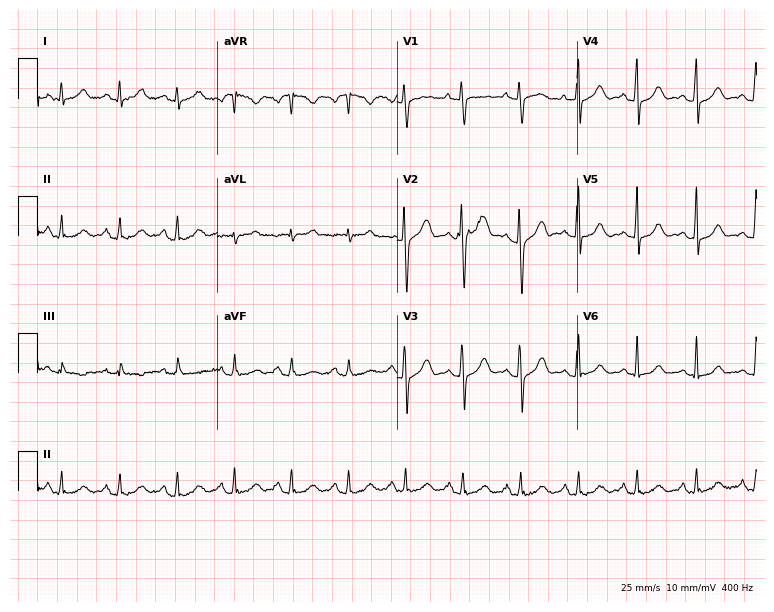
12-lead ECG from a female patient, 26 years old. Shows sinus tachycardia (a sinus rate of 100 beats per minute or more).